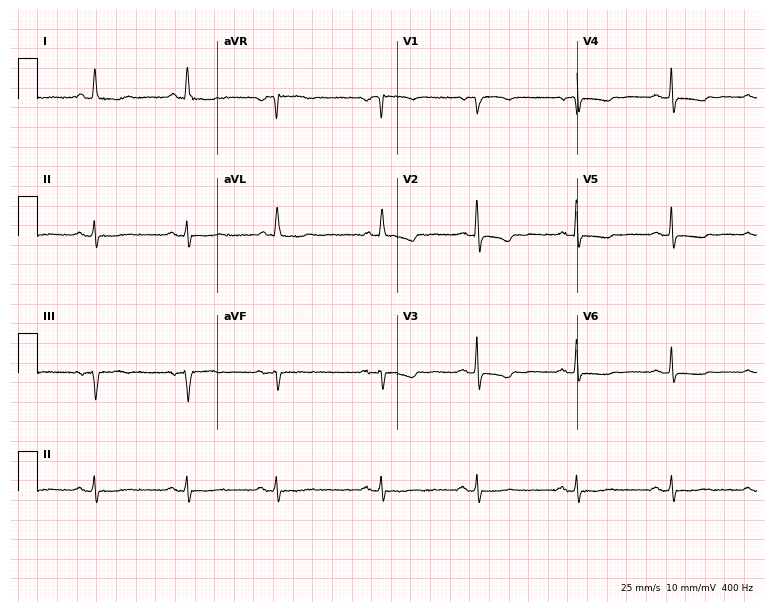
Resting 12-lead electrocardiogram. Patient: a 77-year-old female. Read as a normal ECG.